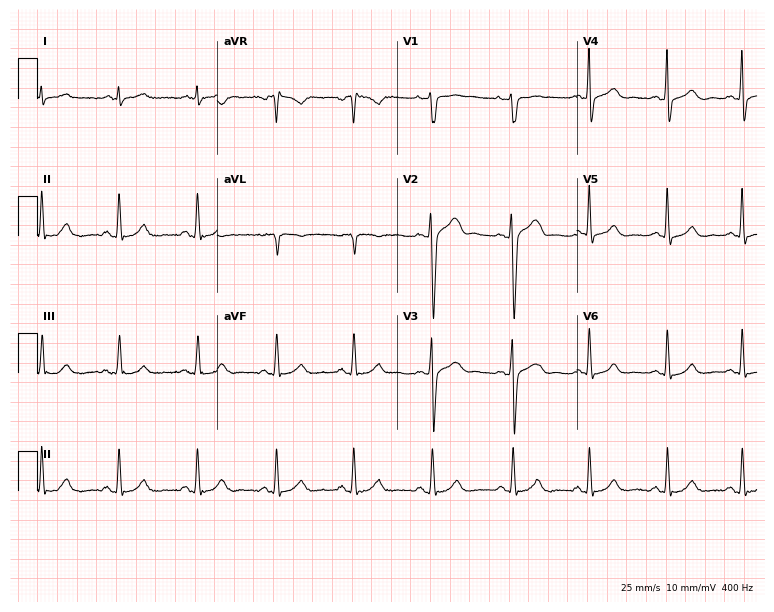
12-lead ECG from a 33-year-old male. Labelled as a normal ECG.